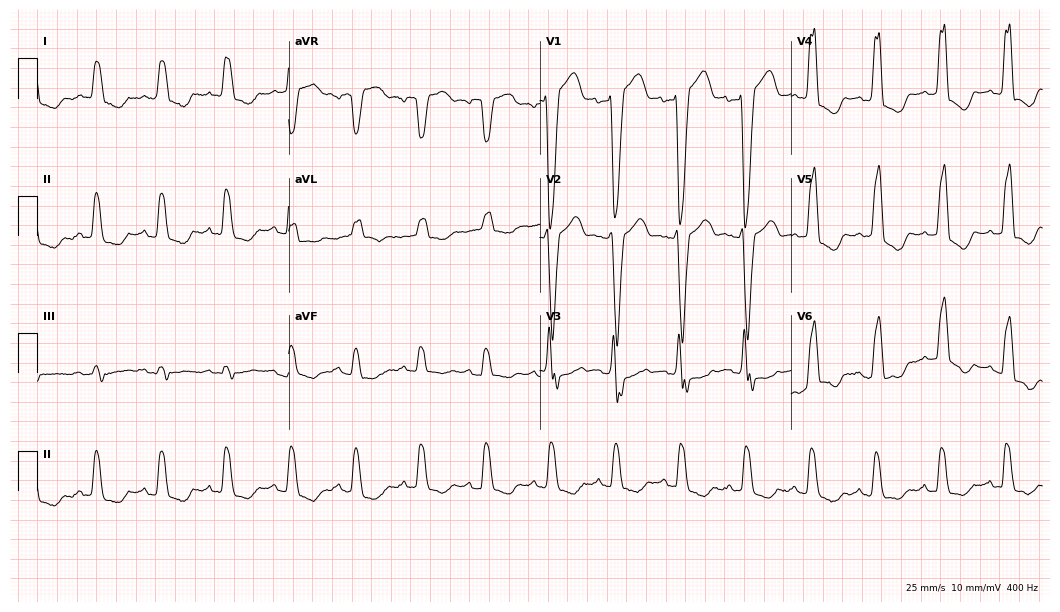
Resting 12-lead electrocardiogram (10.2-second recording at 400 Hz). Patient: a woman, 84 years old. The tracing shows left bundle branch block.